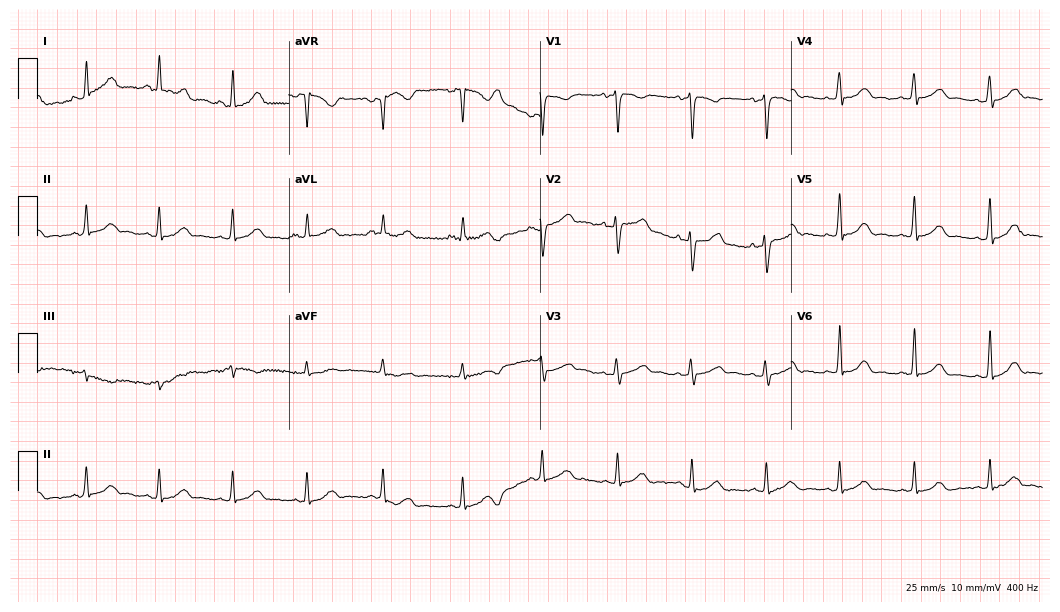
Electrocardiogram (10.2-second recording at 400 Hz), a 36-year-old female. Overall reading on record: normal ECG.